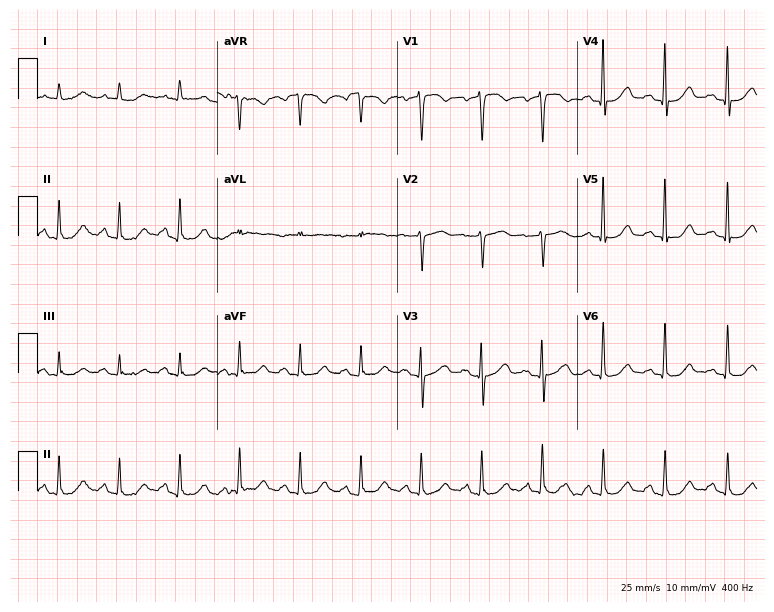
12-lead ECG from a 65-year-old female patient. Labelled as a normal ECG.